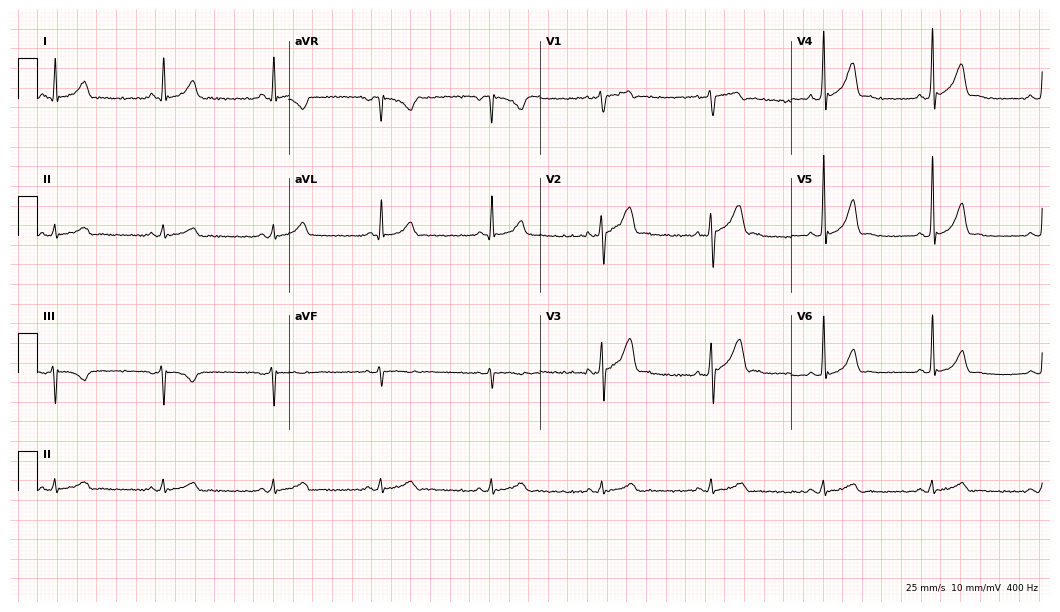
12-lead ECG from a 35-year-old man. Labelled as a normal ECG.